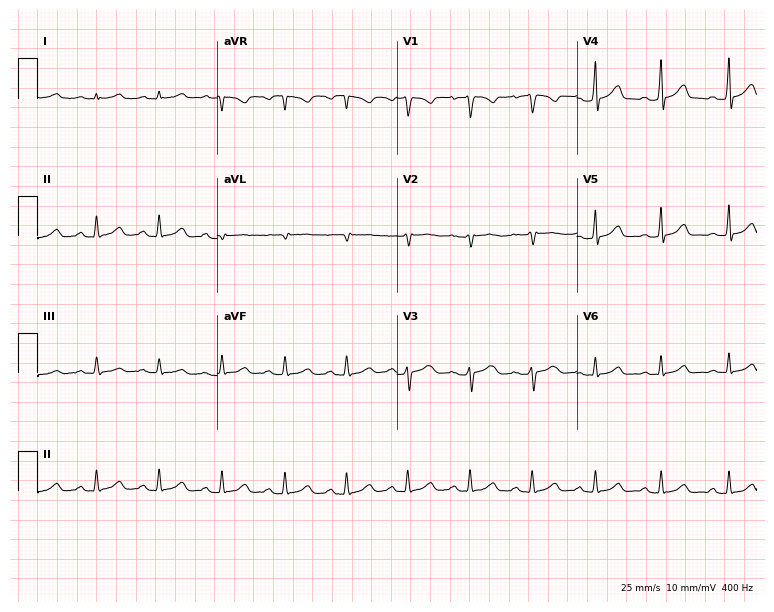
Standard 12-lead ECG recorded from a 23-year-old woman. None of these six findings is recorded: first-degree AV block, right bundle branch block (RBBB), left bundle branch block (LBBB), sinus bradycardia, atrial fibrillation (AF), sinus tachycardia.